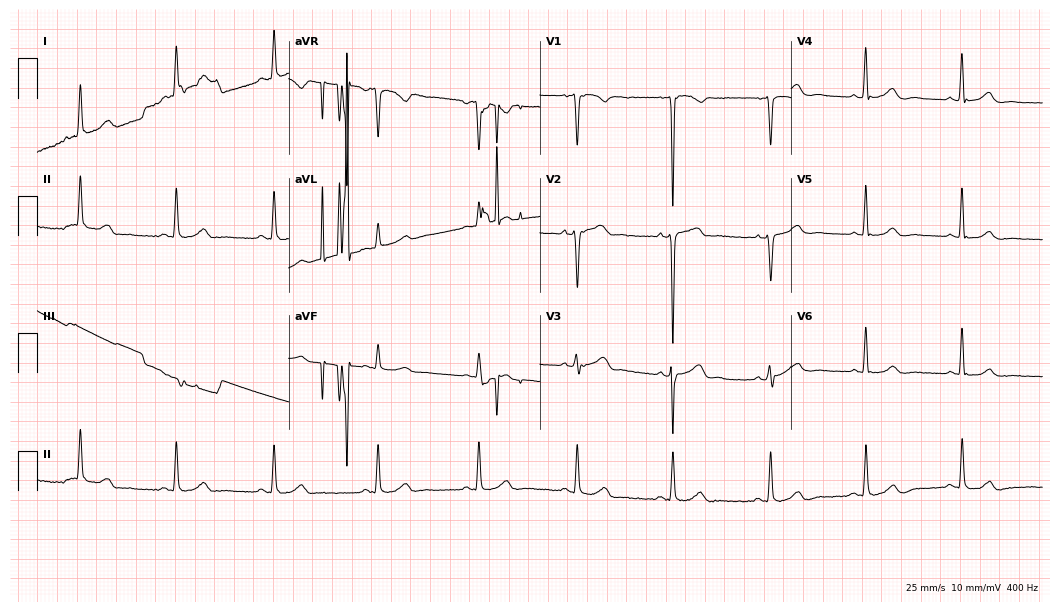
12-lead ECG from a 50-year-old woman. No first-degree AV block, right bundle branch block (RBBB), left bundle branch block (LBBB), sinus bradycardia, atrial fibrillation (AF) or sinus tachycardia recorded for this tracing. Findings outside these six are not listed.